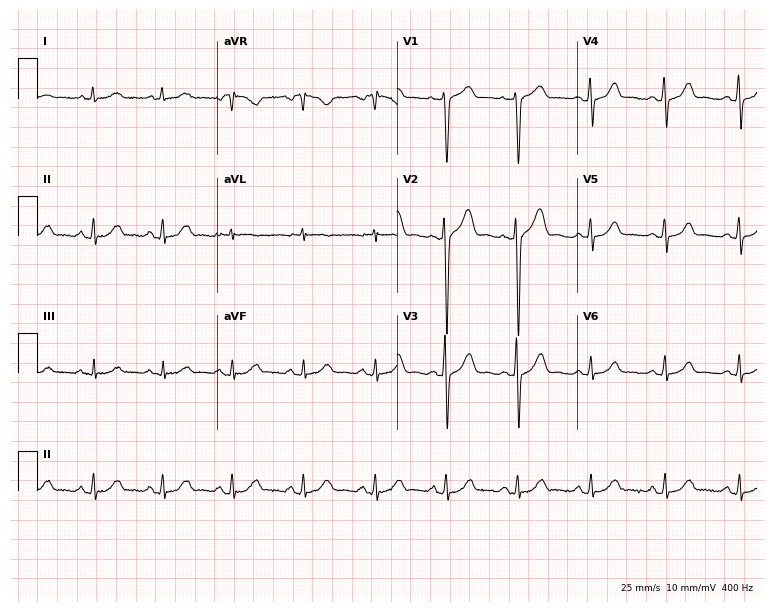
Resting 12-lead electrocardiogram (7.3-second recording at 400 Hz). Patient: a female, 67 years old. None of these six findings is recorded: first-degree AV block, right bundle branch block, left bundle branch block, sinus bradycardia, atrial fibrillation, sinus tachycardia.